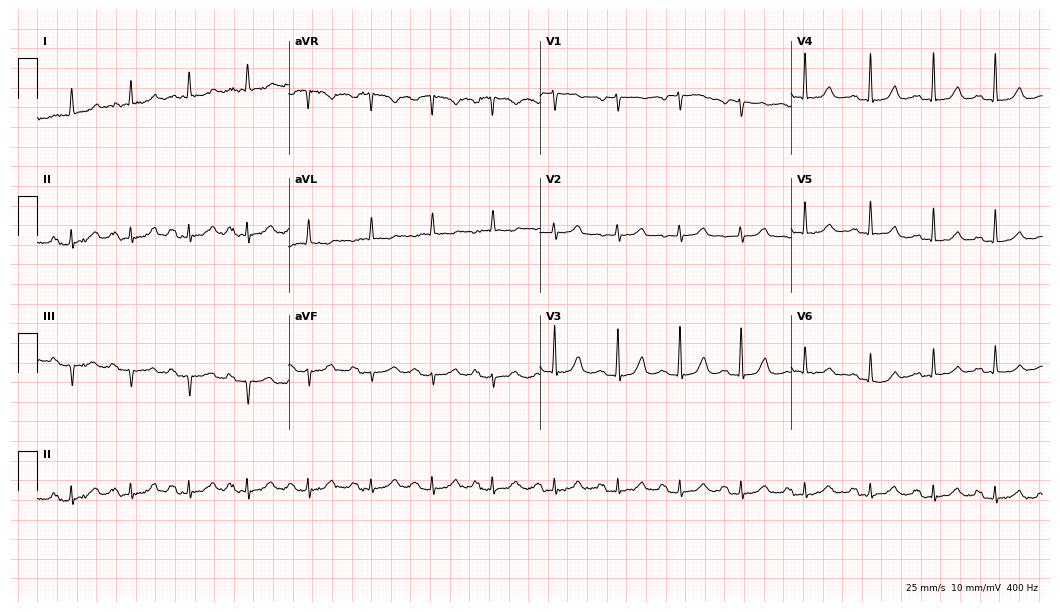
Resting 12-lead electrocardiogram (10.2-second recording at 400 Hz). Patient: a woman, 78 years old. None of these six findings is recorded: first-degree AV block, right bundle branch block (RBBB), left bundle branch block (LBBB), sinus bradycardia, atrial fibrillation (AF), sinus tachycardia. Findings outside these six are not listed.